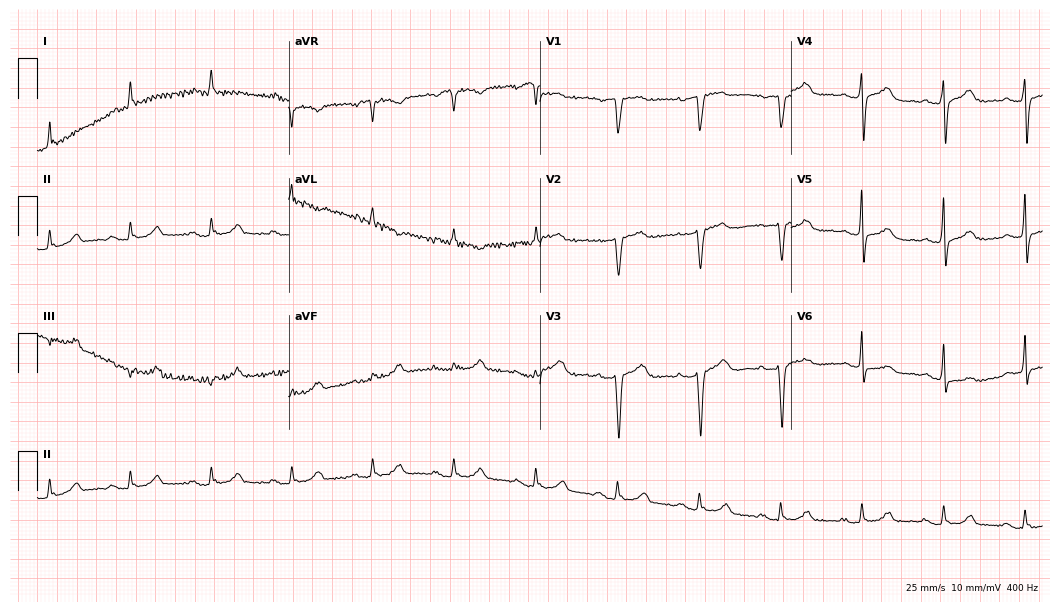
12-lead ECG (10.2-second recording at 400 Hz) from a 79-year-old woman. Labelled as a normal ECG.